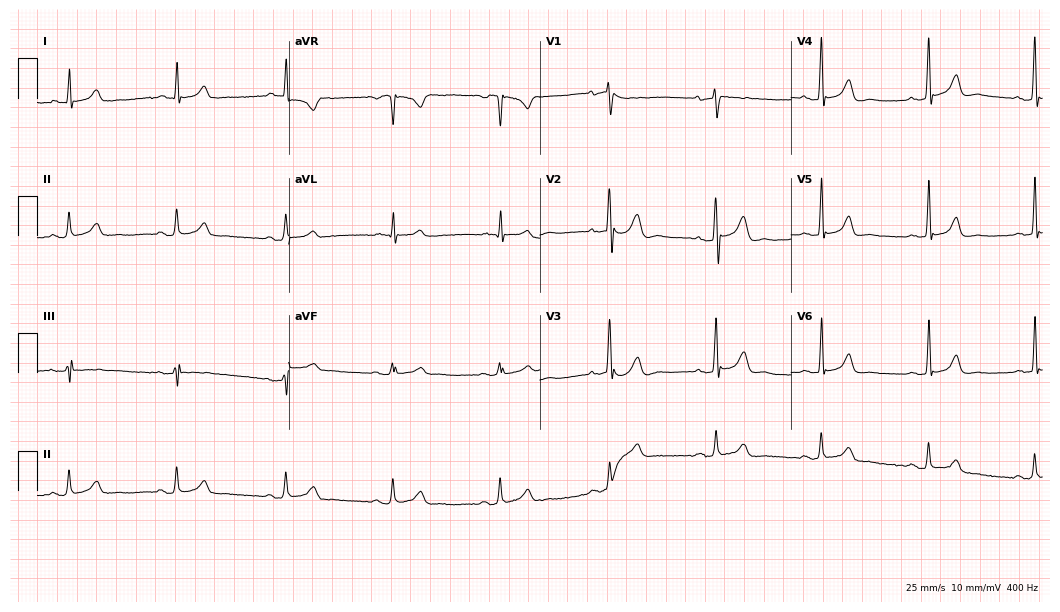
Electrocardiogram (10.2-second recording at 400 Hz), a 68-year-old man. Overall reading on record: normal ECG.